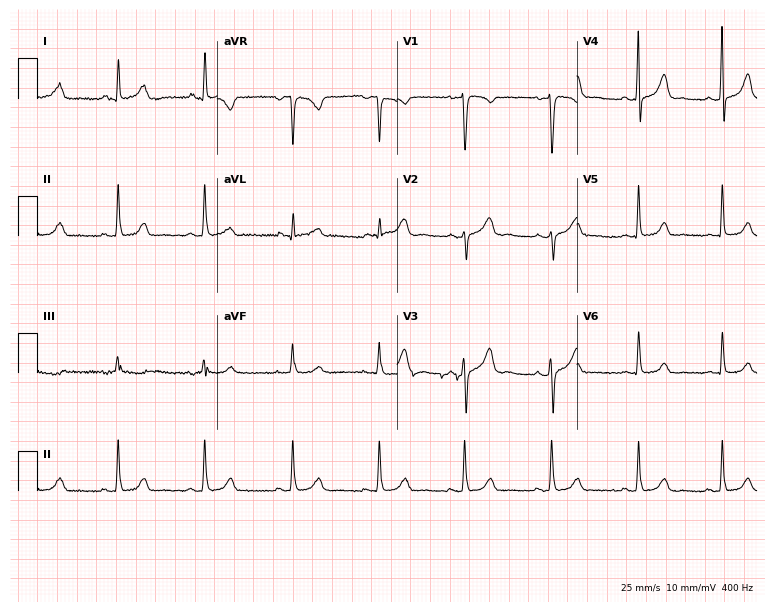
Standard 12-lead ECG recorded from a 41-year-old woman (7.3-second recording at 400 Hz). None of these six findings is recorded: first-degree AV block, right bundle branch block, left bundle branch block, sinus bradycardia, atrial fibrillation, sinus tachycardia.